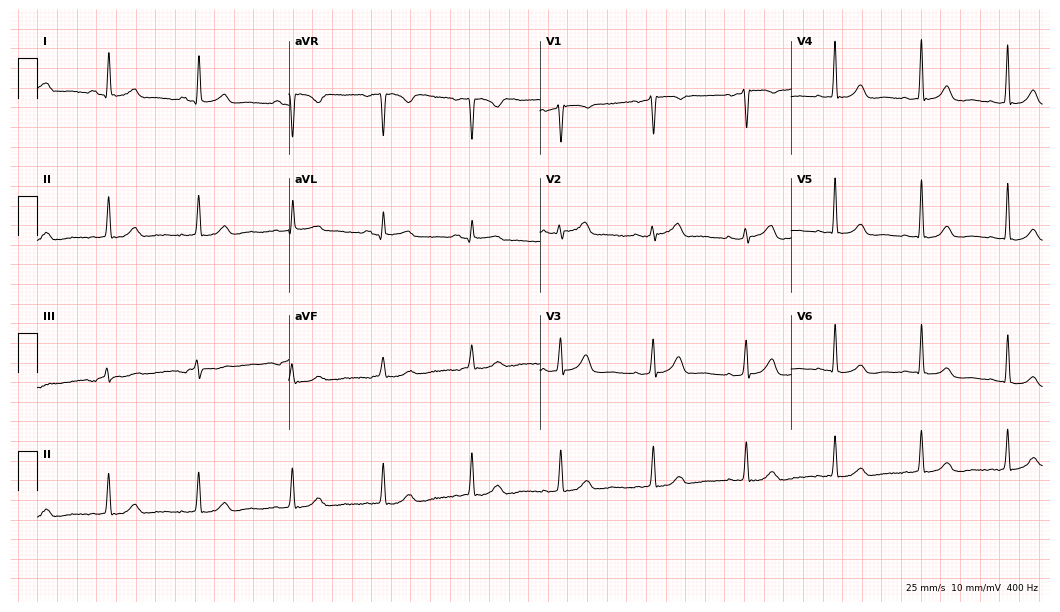
12-lead ECG from a 57-year-old female patient (10.2-second recording at 400 Hz). No first-degree AV block, right bundle branch block, left bundle branch block, sinus bradycardia, atrial fibrillation or sinus tachycardia recorded for this tracing.